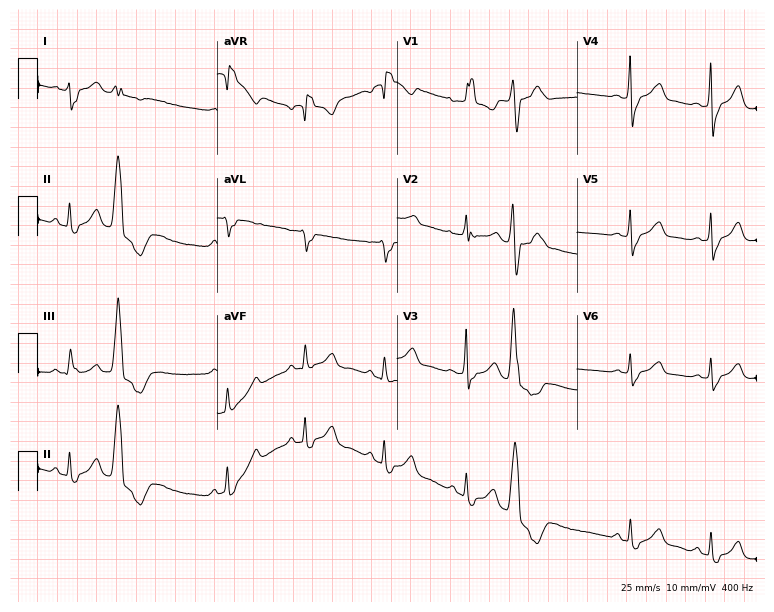
Resting 12-lead electrocardiogram (7.3-second recording at 400 Hz). Patient: a 70-year-old female. The tracing shows right bundle branch block (RBBB).